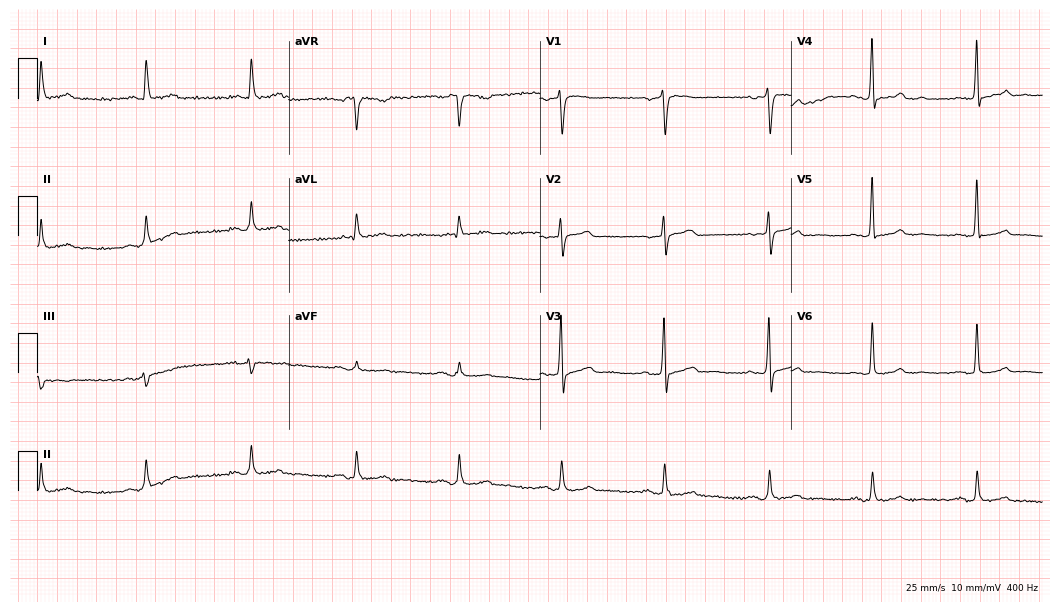
12-lead ECG from a 66-year-old male. Recorded interpretation: within normal limits.